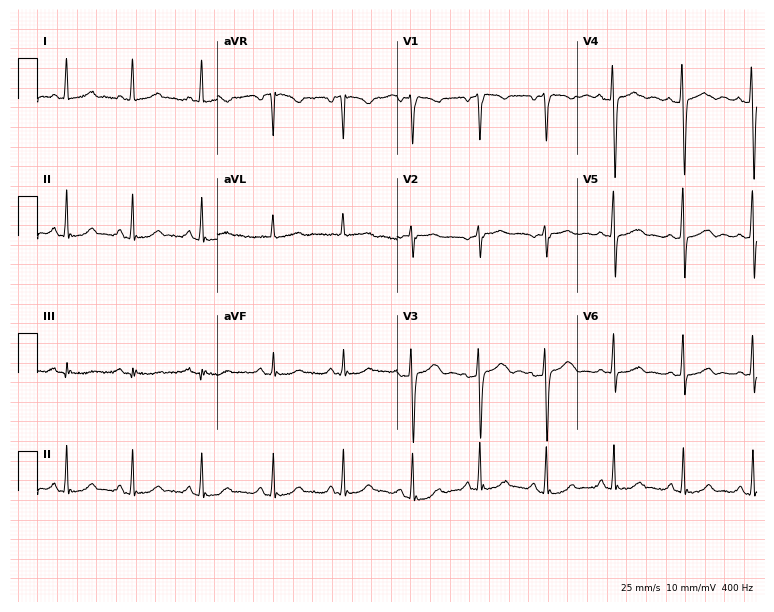
ECG (7.3-second recording at 400 Hz) — a 35-year-old woman. Labelled as a normal ECG.